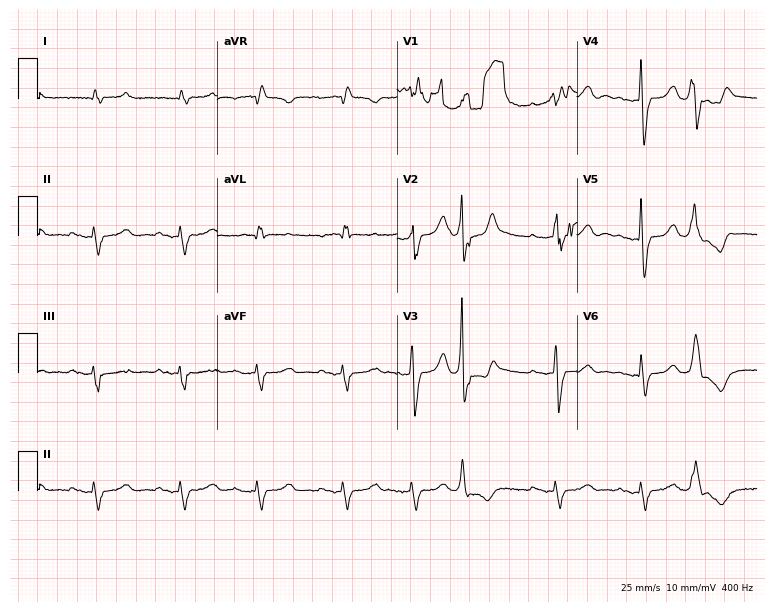
12-lead ECG from a female patient, 82 years old (7.3-second recording at 400 Hz). Shows first-degree AV block.